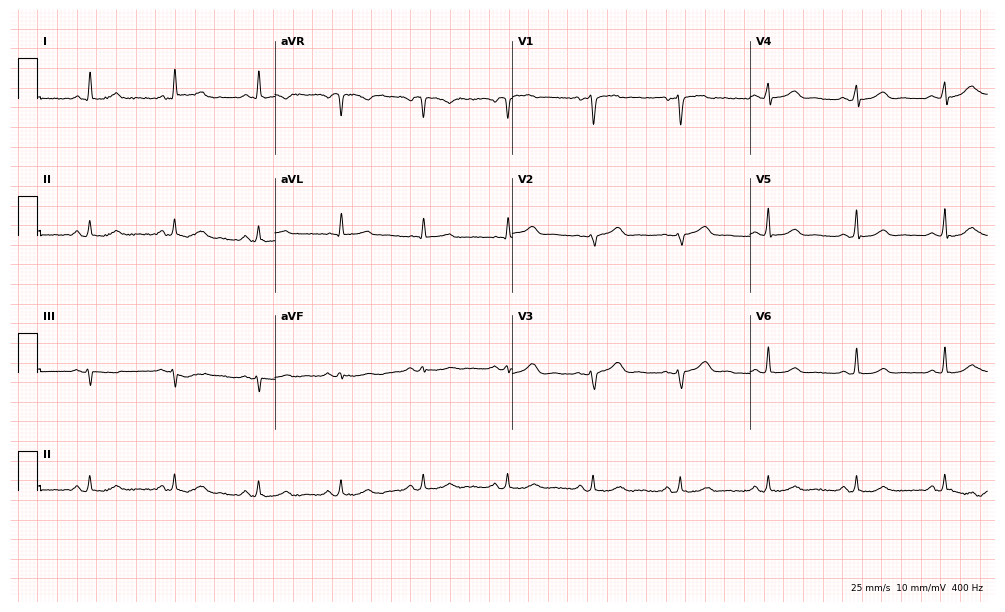
ECG — a female patient, 48 years old. Labelled as a normal ECG.